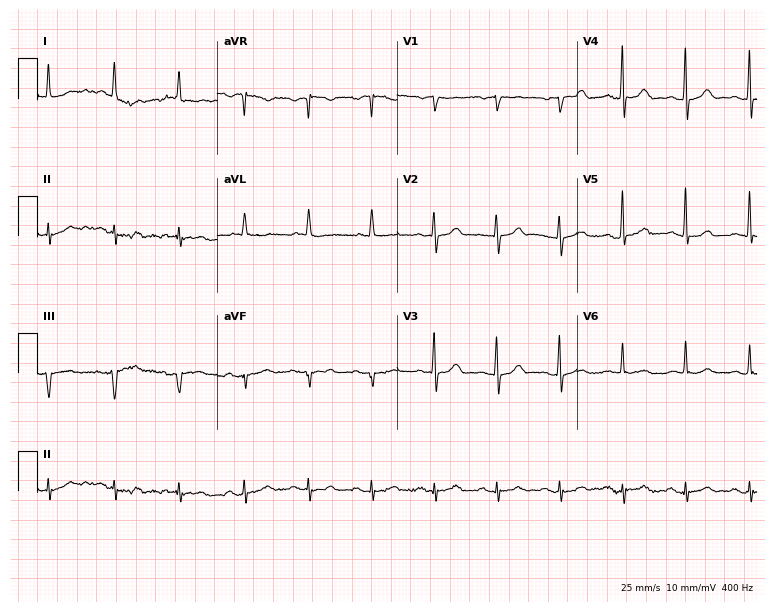
12-lead ECG from a 68-year-old man (7.3-second recording at 400 Hz). No first-degree AV block, right bundle branch block, left bundle branch block, sinus bradycardia, atrial fibrillation or sinus tachycardia recorded for this tracing.